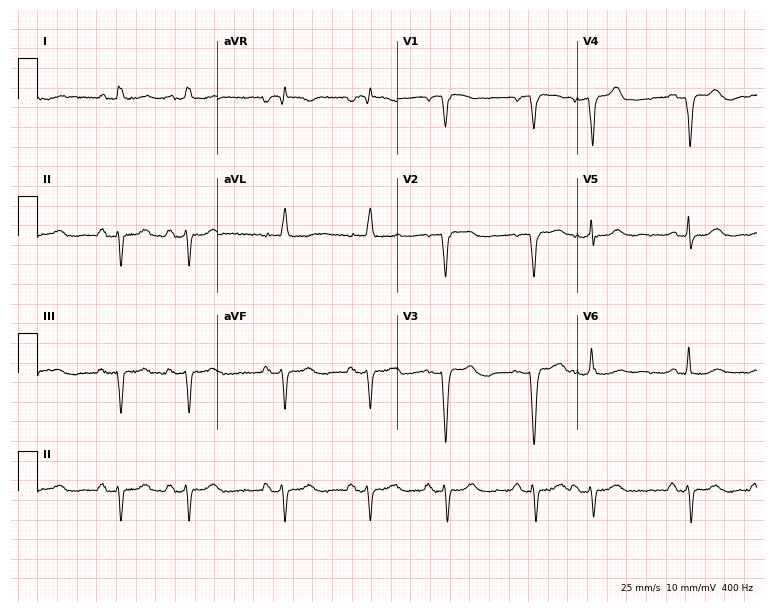
Standard 12-lead ECG recorded from a female patient, 80 years old. None of these six findings is recorded: first-degree AV block, right bundle branch block (RBBB), left bundle branch block (LBBB), sinus bradycardia, atrial fibrillation (AF), sinus tachycardia. Other findings, if any, are not listed.